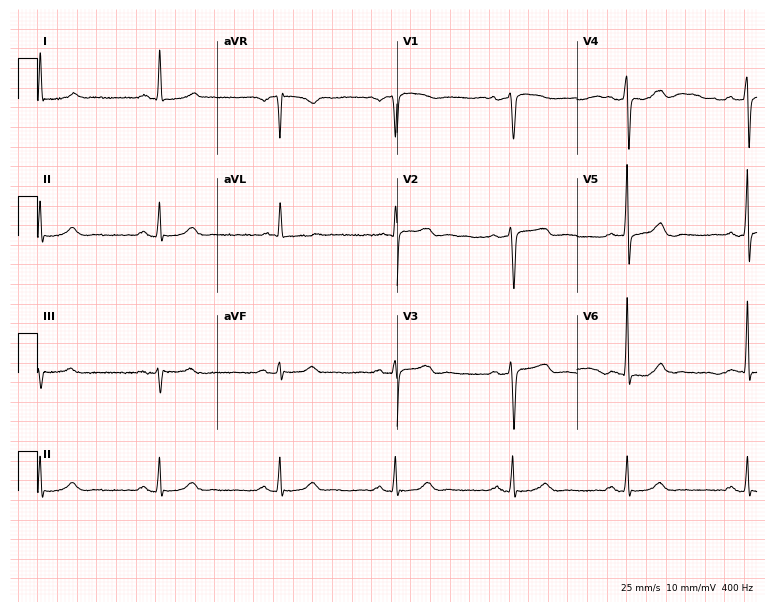
12-lead ECG from a 68-year-old woman. No first-degree AV block, right bundle branch block, left bundle branch block, sinus bradycardia, atrial fibrillation or sinus tachycardia recorded for this tracing.